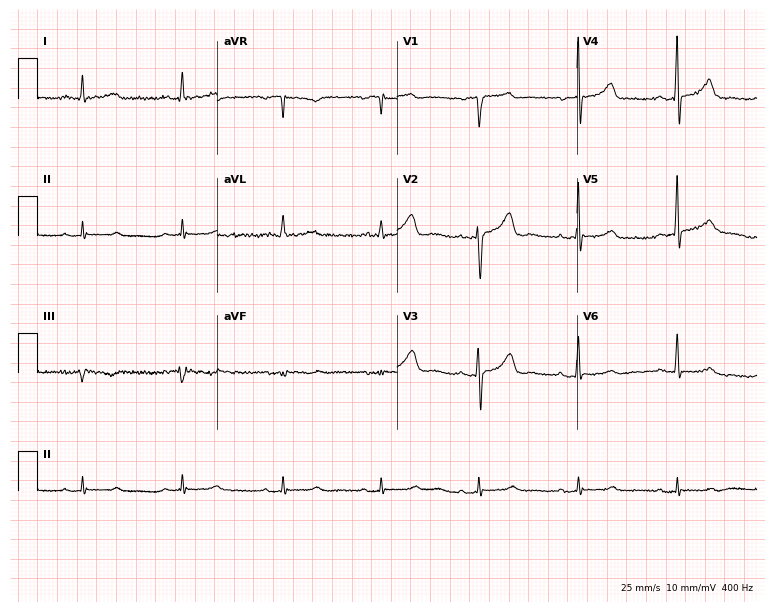
Standard 12-lead ECG recorded from a male, 73 years old (7.3-second recording at 400 Hz). None of these six findings is recorded: first-degree AV block, right bundle branch block (RBBB), left bundle branch block (LBBB), sinus bradycardia, atrial fibrillation (AF), sinus tachycardia. Other findings, if any, are not listed.